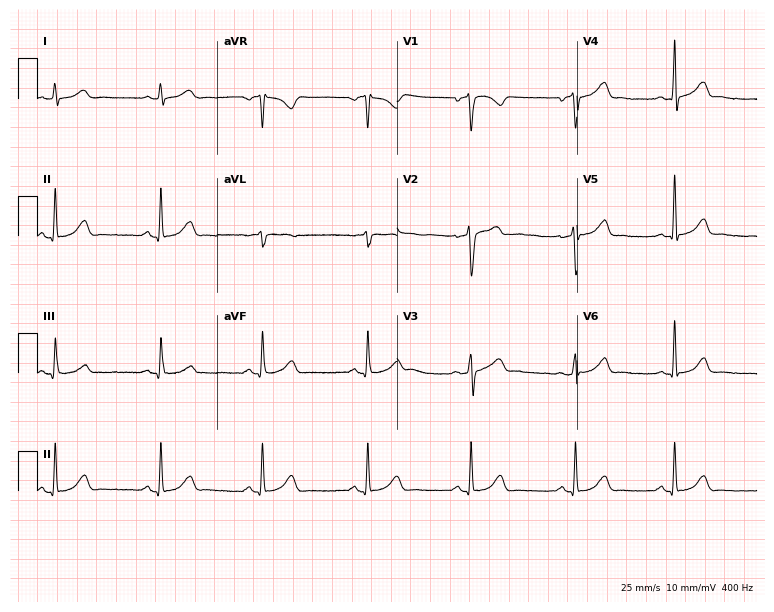
12-lead ECG (7.3-second recording at 400 Hz) from a male patient, 33 years old. Labelled as a normal ECG.